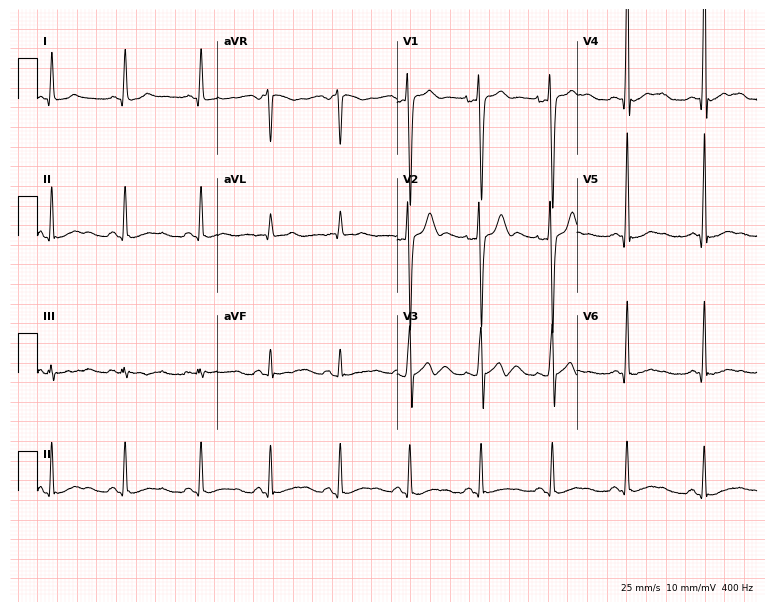
Electrocardiogram (7.3-second recording at 400 Hz), a 21-year-old male. Of the six screened findings (first-degree AV block, right bundle branch block, left bundle branch block, sinus bradycardia, atrial fibrillation, sinus tachycardia), none is recorded.